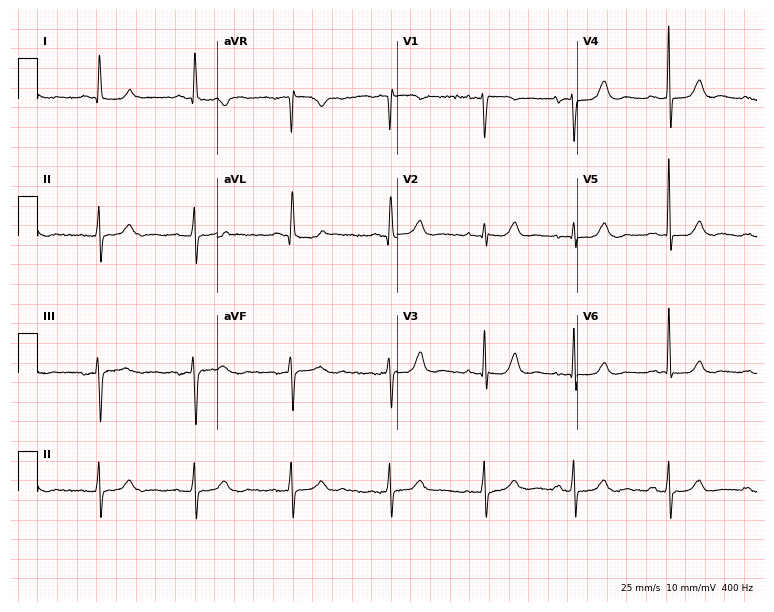
Standard 12-lead ECG recorded from a woman, 64 years old. None of these six findings is recorded: first-degree AV block, right bundle branch block, left bundle branch block, sinus bradycardia, atrial fibrillation, sinus tachycardia.